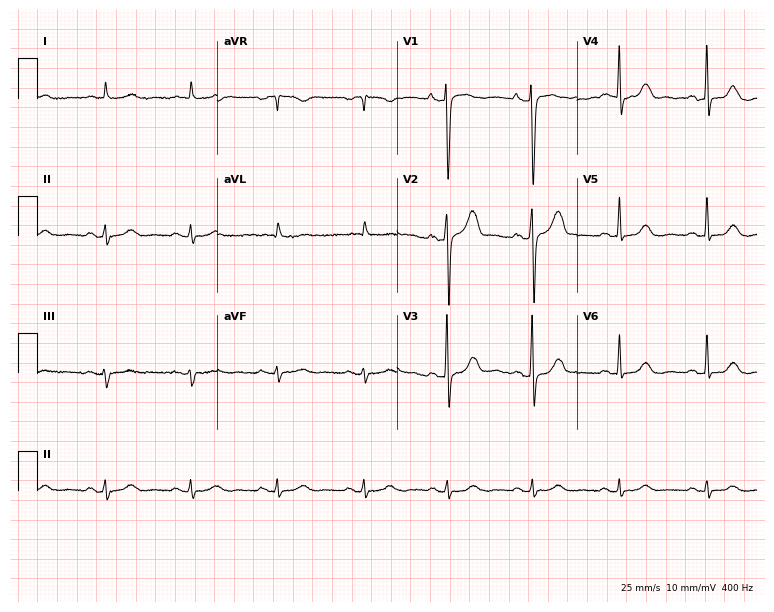
Electrocardiogram, a woman aged 90 or older. Overall reading on record: normal ECG.